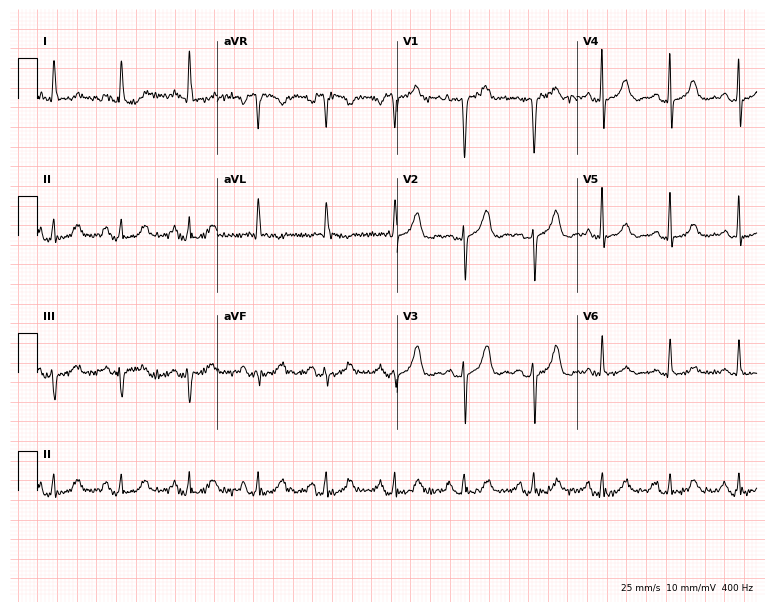
12-lead ECG from a female patient, 80 years old (7.3-second recording at 400 Hz). Recorded interpretation: within normal limits.